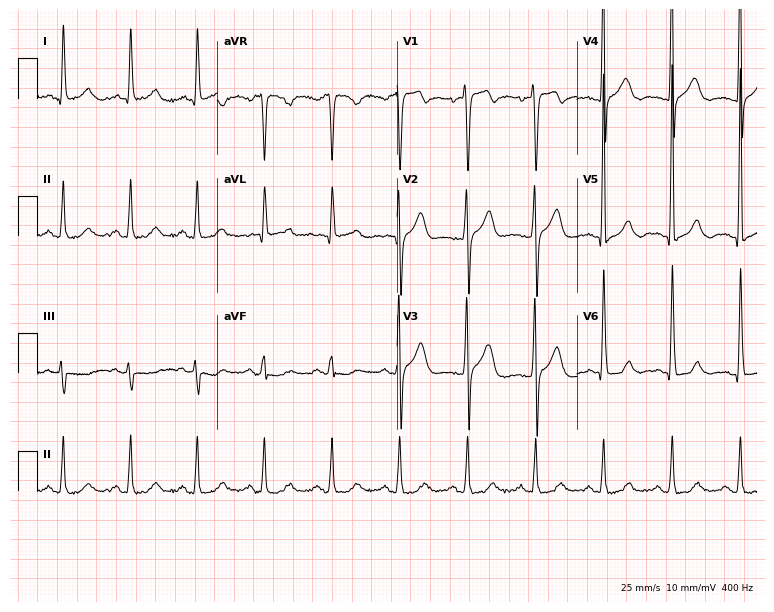
Resting 12-lead electrocardiogram (7.3-second recording at 400 Hz). Patient: a 62-year-old man. None of these six findings is recorded: first-degree AV block, right bundle branch block, left bundle branch block, sinus bradycardia, atrial fibrillation, sinus tachycardia. Other findings, if any, are not listed.